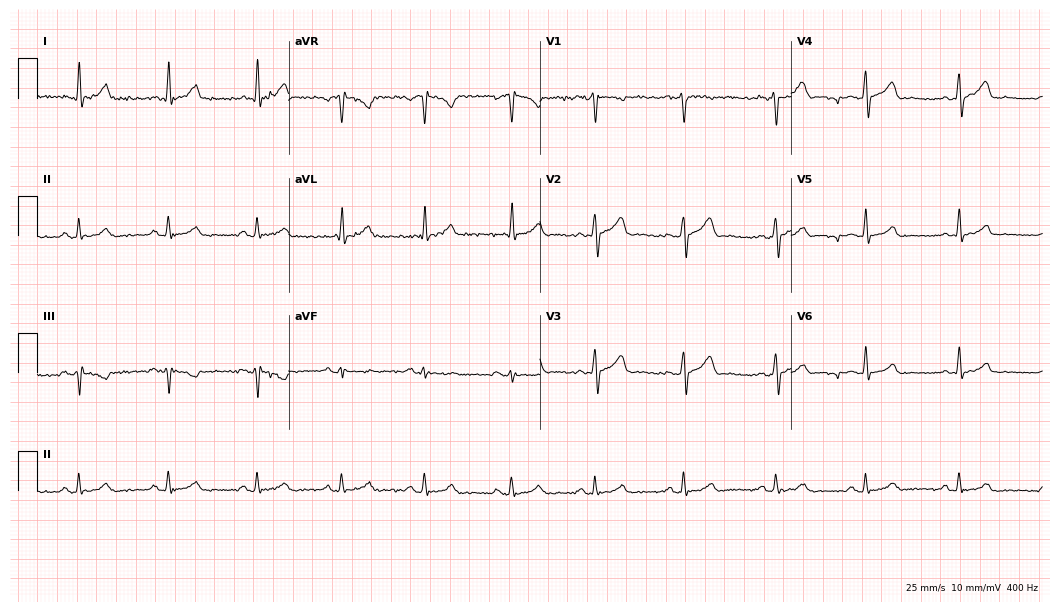
12-lead ECG from a 29-year-old man. Recorded interpretation: within normal limits.